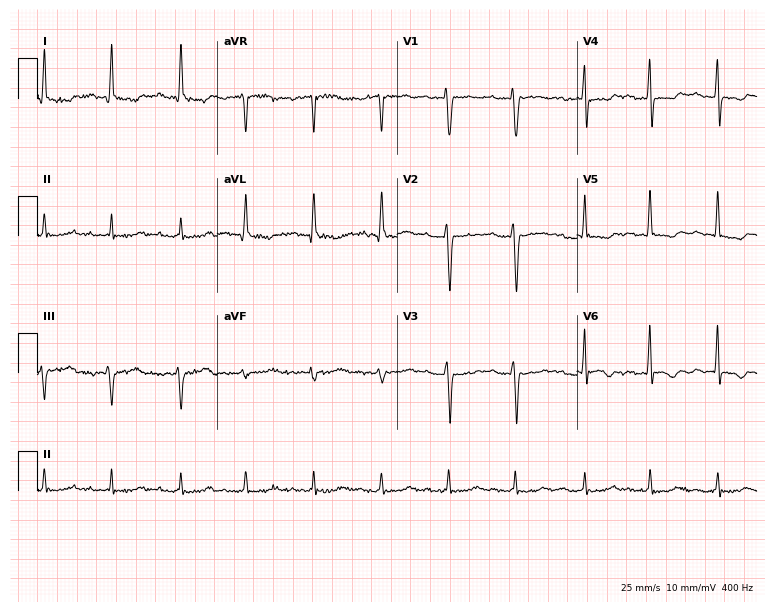
Electrocardiogram, a male, 72 years old. Of the six screened findings (first-degree AV block, right bundle branch block, left bundle branch block, sinus bradycardia, atrial fibrillation, sinus tachycardia), none is recorded.